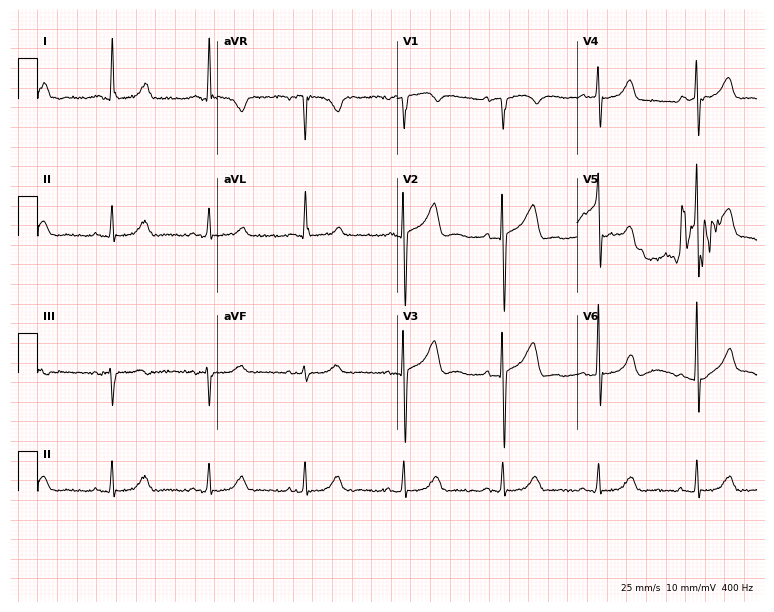
Resting 12-lead electrocardiogram (7.3-second recording at 400 Hz). Patient: a 79-year-old female. None of these six findings is recorded: first-degree AV block, right bundle branch block (RBBB), left bundle branch block (LBBB), sinus bradycardia, atrial fibrillation (AF), sinus tachycardia. Only these six findings were labelled.